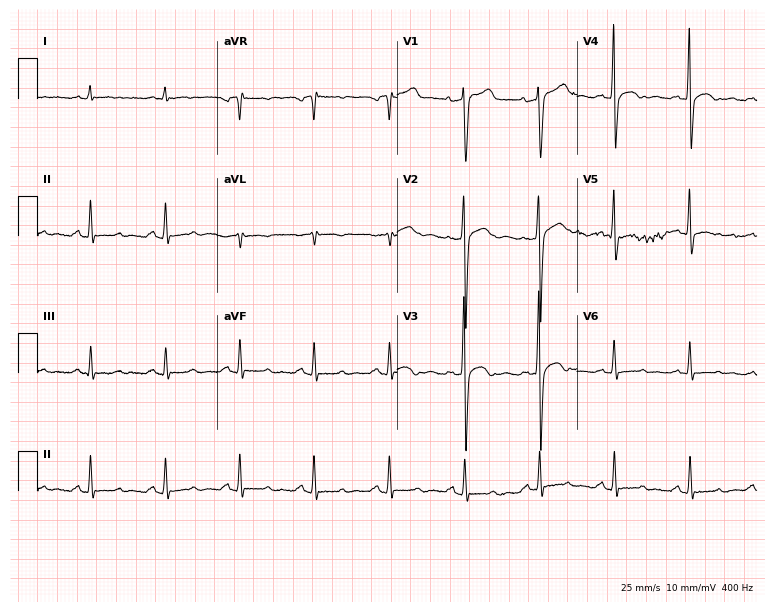
Resting 12-lead electrocardiogram. Patient: a 45-year-old male. None of these six findings is recorded: first-degree AV block, right bundle branch block, left bundle branch block, sinus bradycardia, atrial fibrillation, sinus tachycardia. Other findings, if any, are not listed.